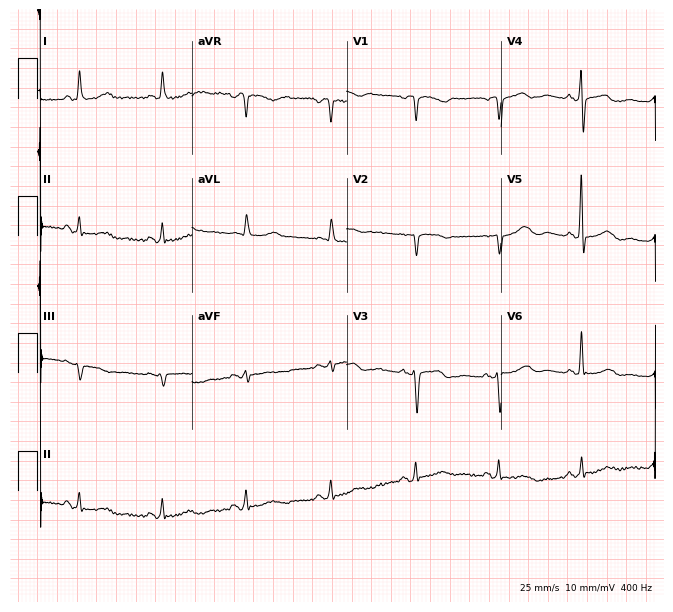
ECG (6.3-second recording at 400 Hz) — a female patient, 72 years old. Screened for six findings — first-degree AV block, right bundle branch block (RBBB), left bundle branch block (LBBB), sinus bradycardia, atrial fibrillation (AF), sinus tachycardia — none is recorded. Findings outside these six are not listed.